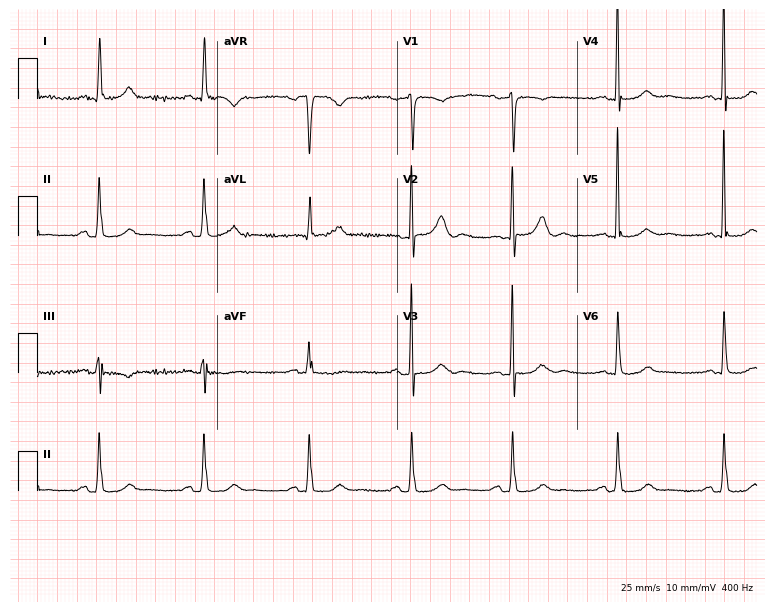
Standard 12-lead ECG recorded from a 79-year-old female patient. None of these six findings is recorded: first-degree AV block, right bundle branch block, left bundle branch block, sinus bradycardia, atrial fibrillation, sinus tachycardia. Other findings, if any, are not listed.